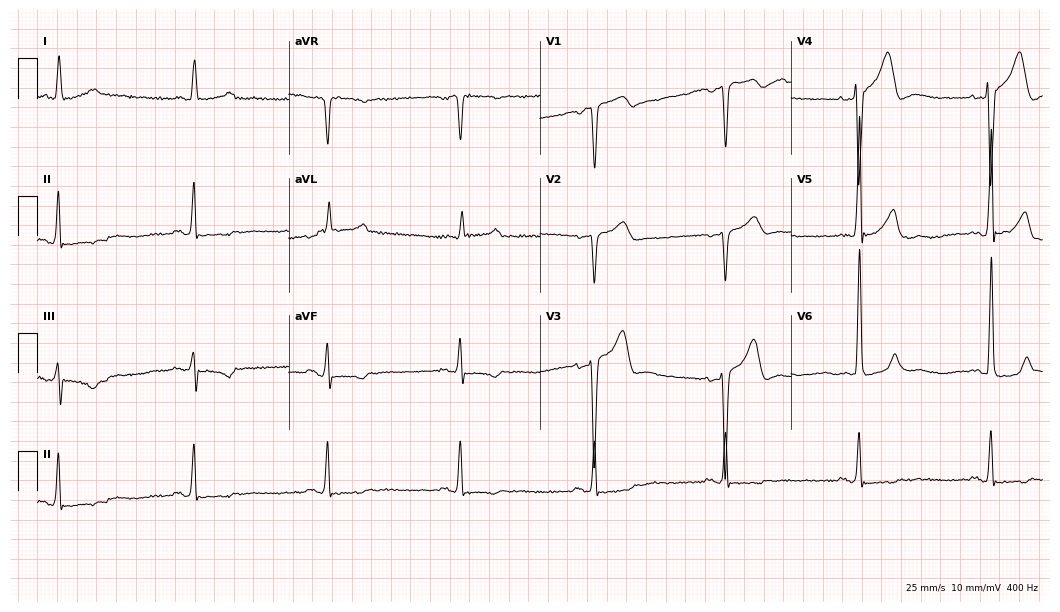
ECG (10.2-second recording at 400 Hz) — a 68-year-old man. Screened for six findings — first-degree AV block, right bundle branch block, left bundle branch block, sinus bradycardia, atrial fibrillation, sinus tachycardia — none is recorded.